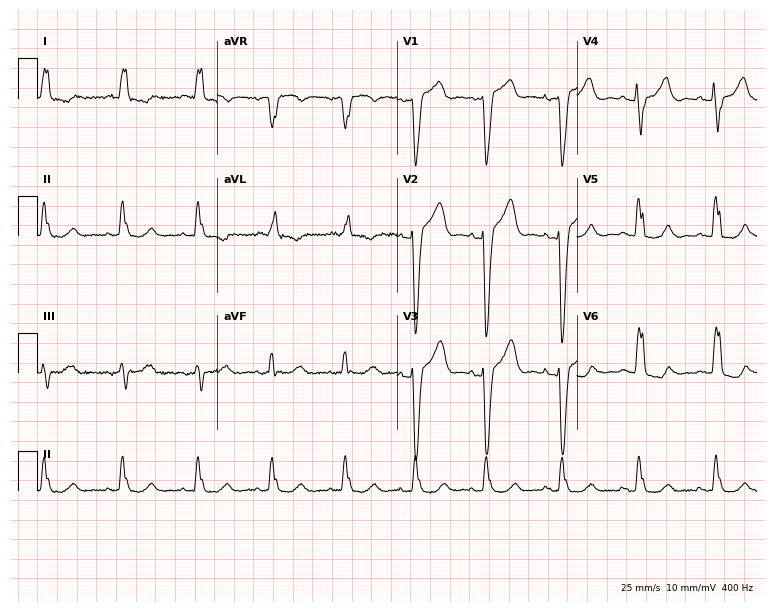
Electrocardiogram, a 75-year-old female patient. Interpretation includes left bundle branch block.